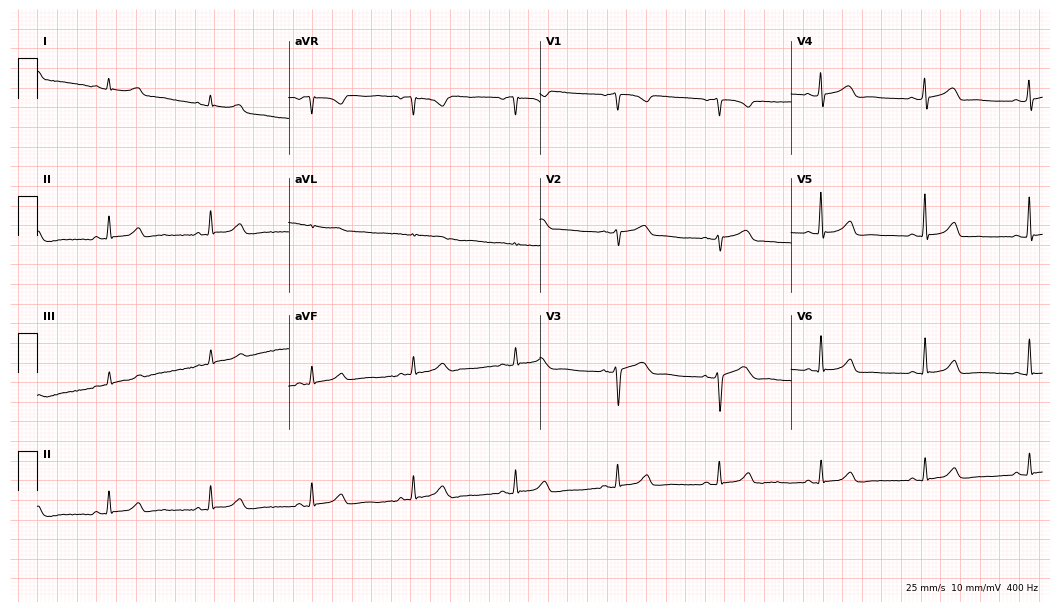
Electrocardiogram, a female patient, 51 years old. Overall reading on record: normal ECG.